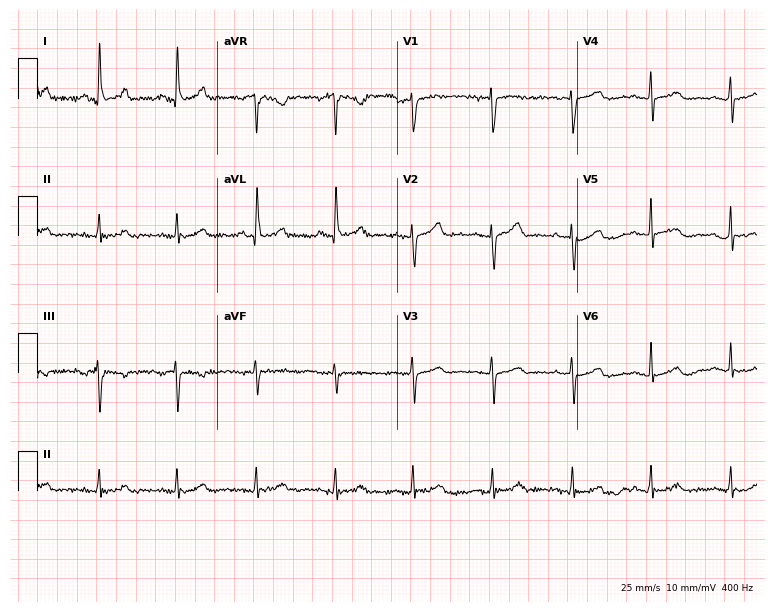
Resting 12-lead electrocardiogram. Patient: a female, 76 years old. Read as a normal ECG.